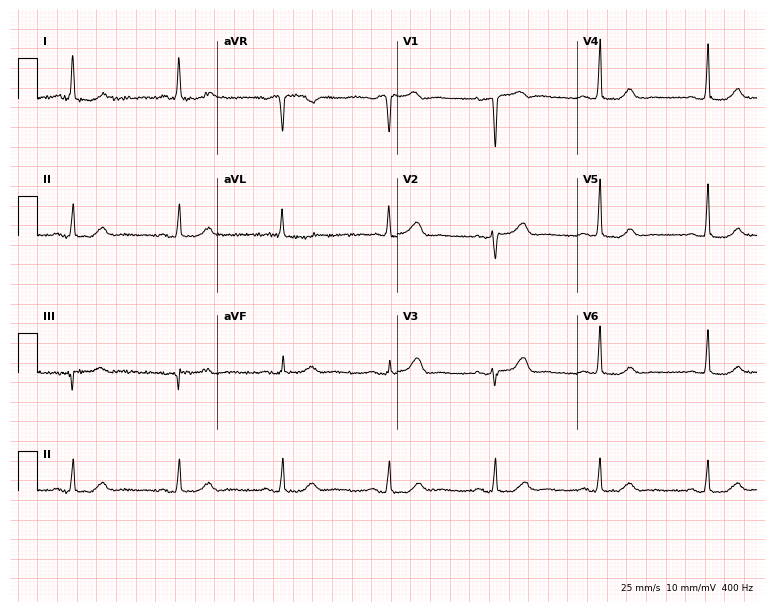
Electrocardiogram (7.3-second recording at 400 Hz), a 66-year-old female patient. Overall reading on record: normal ECG.